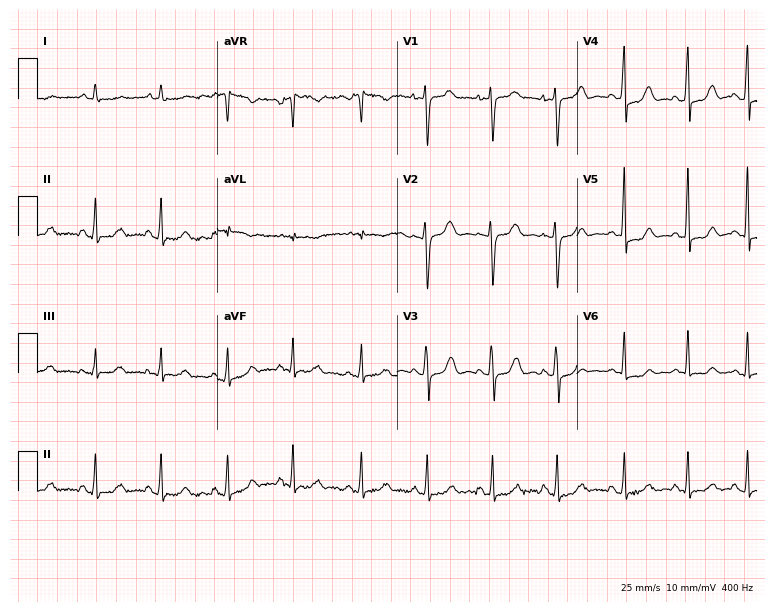
12-lead ECG from a 37-year-old woman (7.3-second recording at 400 Hz). Recorded interpretation: within normal limits.